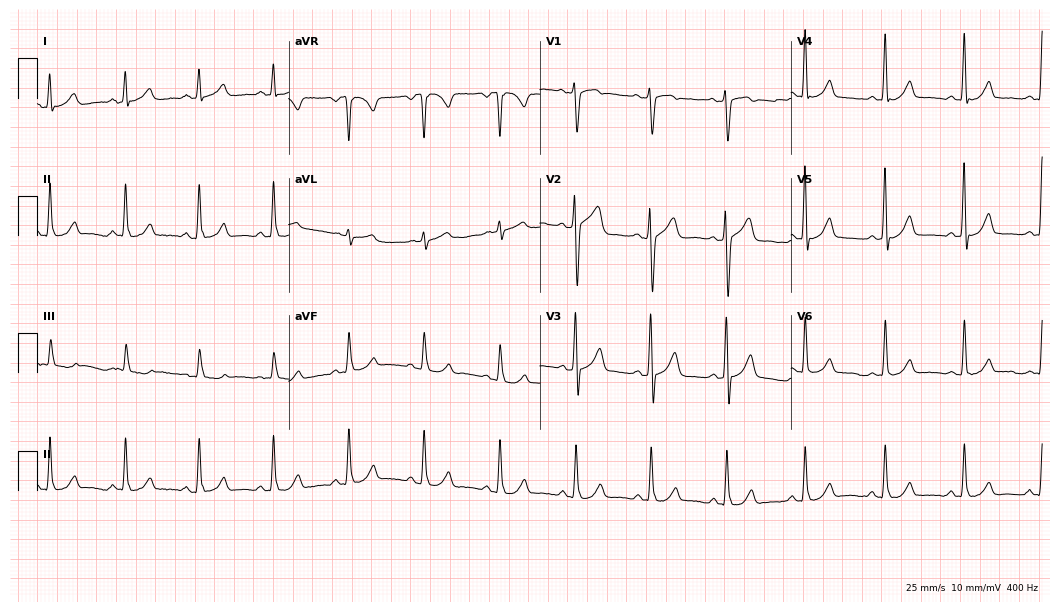
Resting 12-lead electrocardiogram. Patient: a male, 54 years old. Read as a normal ECG.